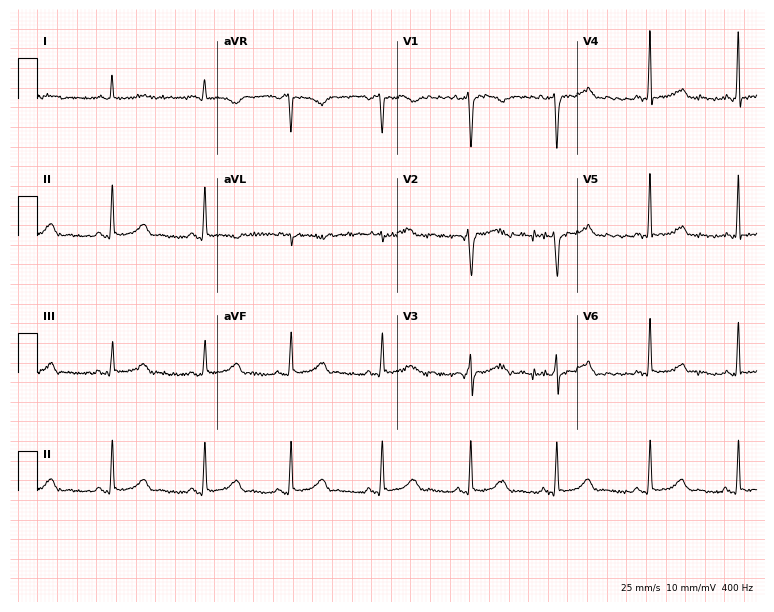
ECG (7.3-second recording at 400 Hz) — a 50-year-old female. Screened for six findings — first-degree AV block, right bundle branch block, left bundle branch block, sinus bradycardia, atrial fibrillation, sinus tachycardia — none is recorded.